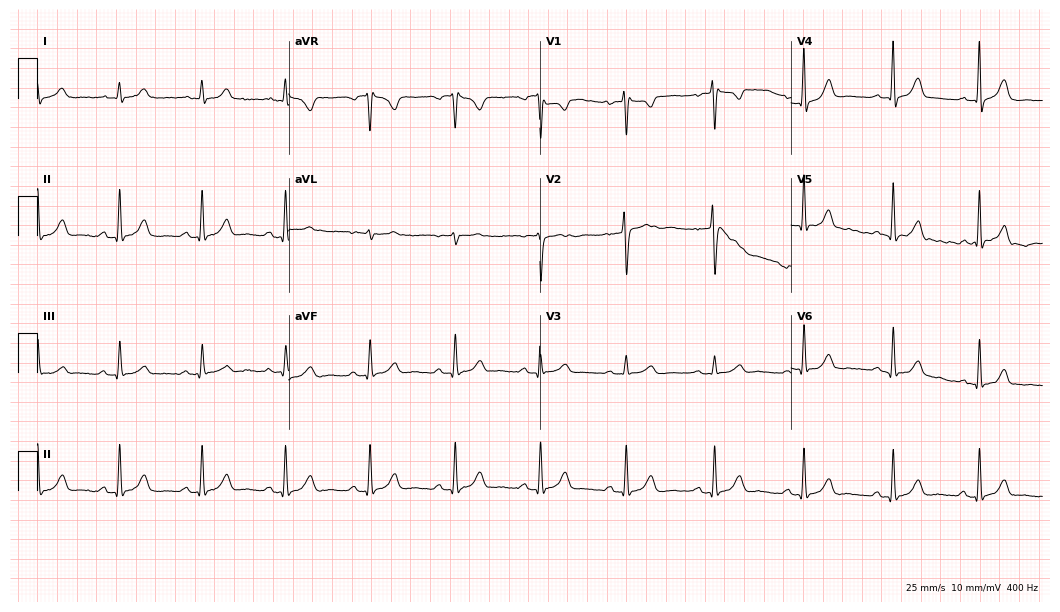
Electrocardiogram (10.2-second recording at 400 Hz), a 37-year-old female patient. Overall reading on record: normal ECG.